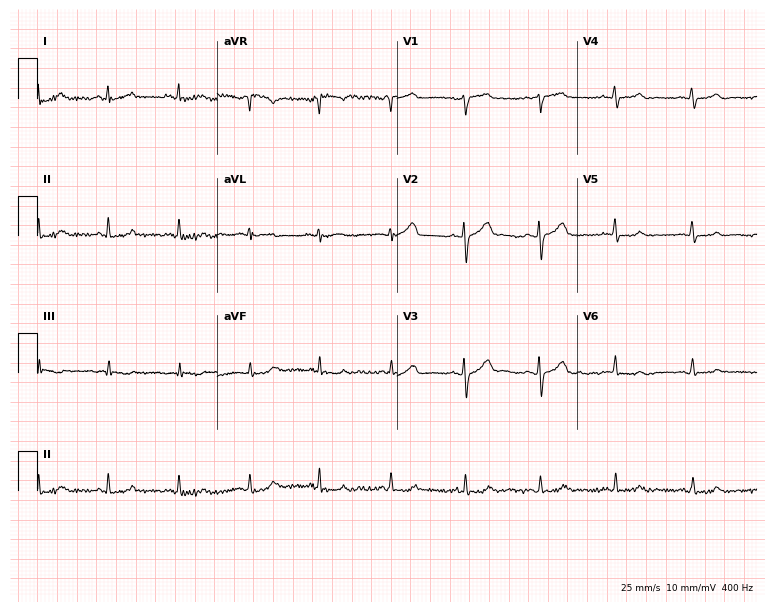
12-lead ECG from a female, 34 years old (7.3-second recording at 400 Hz). No first-degree AV block, right bundle branch block, left bundle branch block, sinus bradycardia, atrial fibrillation or sinus tachycardia recorded for this tracing. Only these six findings were labelled.